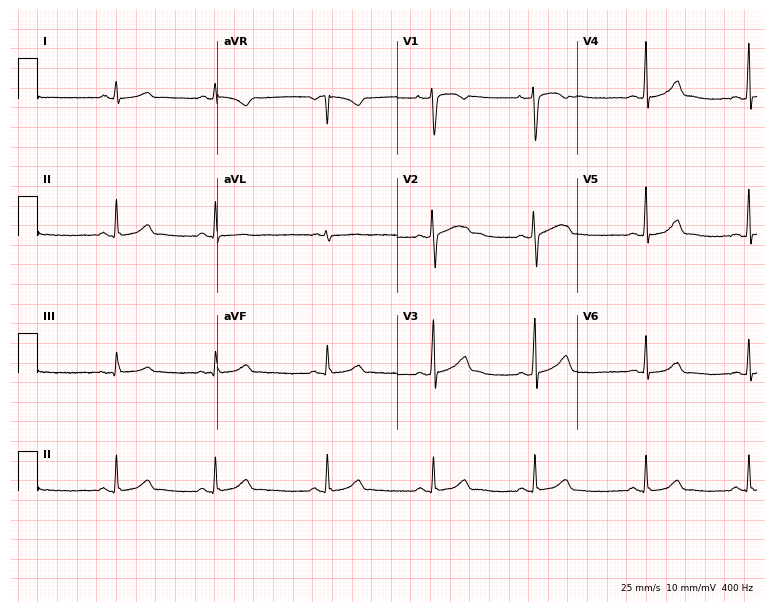
Resting 12-lead electrocardiogram. Patient: a 24-year-old woman. None of these six findings is recorded: first-degree AV block, right bundle branch block, left bundle branch block, sinus bradycardia, atrial fibrillation, sinus tachycardia. Only these six findings were labelled.